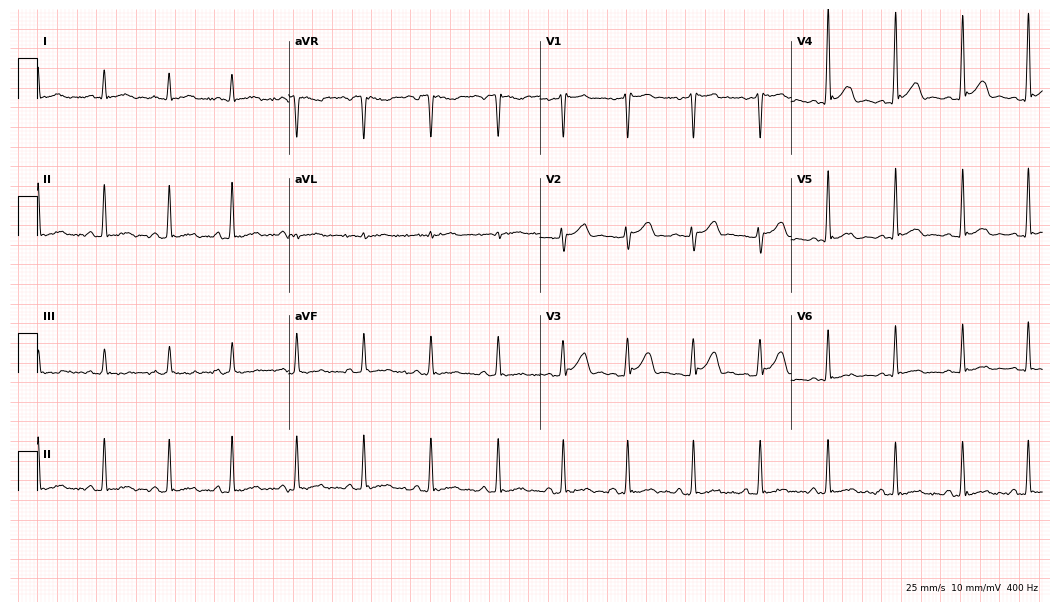
12-lead ECG from a man, 32 years old. Recorded interpretation: within normal limits.